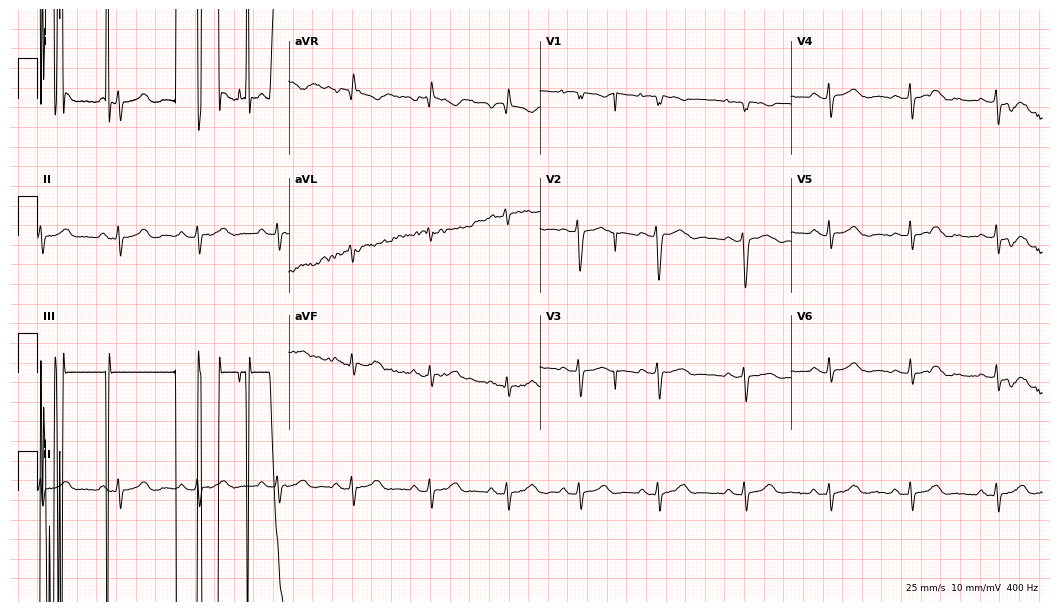
Electrocardiogram, a 17-year-old female. Of the six screened findings (first-degree AV block, right bundle branch block, left bundle branch block, sinus bradycardia, atrial fibrillation, sinus tachycardia), none is recorded.